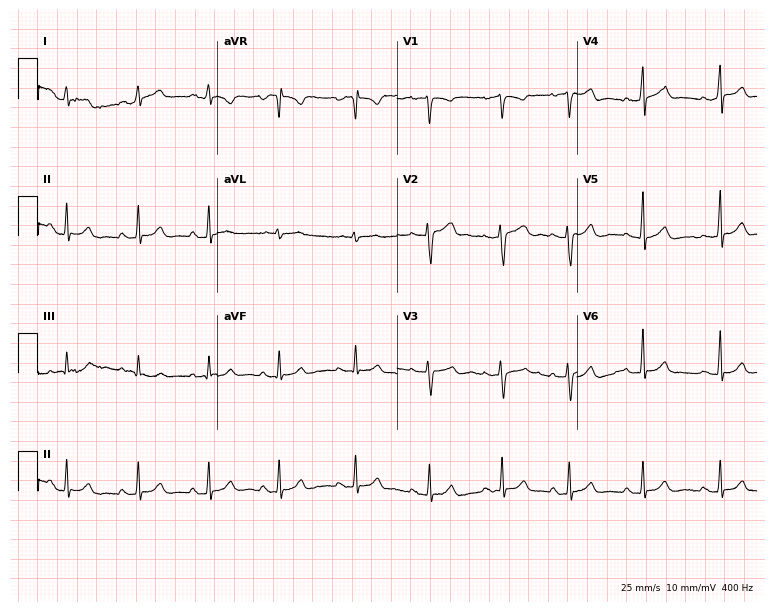
Standard 12-lead ECG recorded from a female patient, 17 years old. None of these six findings is recorded: first-degree AV block, right bundle branch block, left bundle branch block, sinus bradycardia, atrial fibrillation, sinus tachycardia. Findings outside these six are not listed.